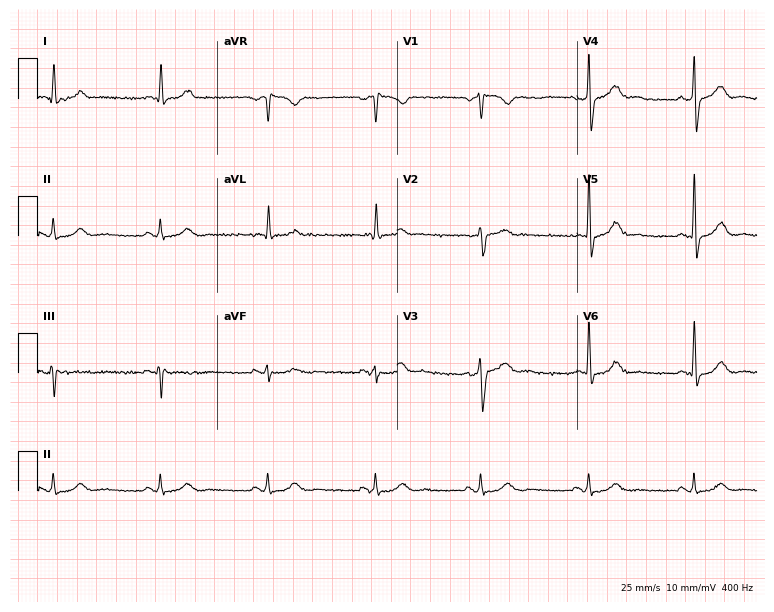
12-lead ECG (7.3-second recording at 400 Hz) from a man, 67 years old. Labelled as a normal ECG.